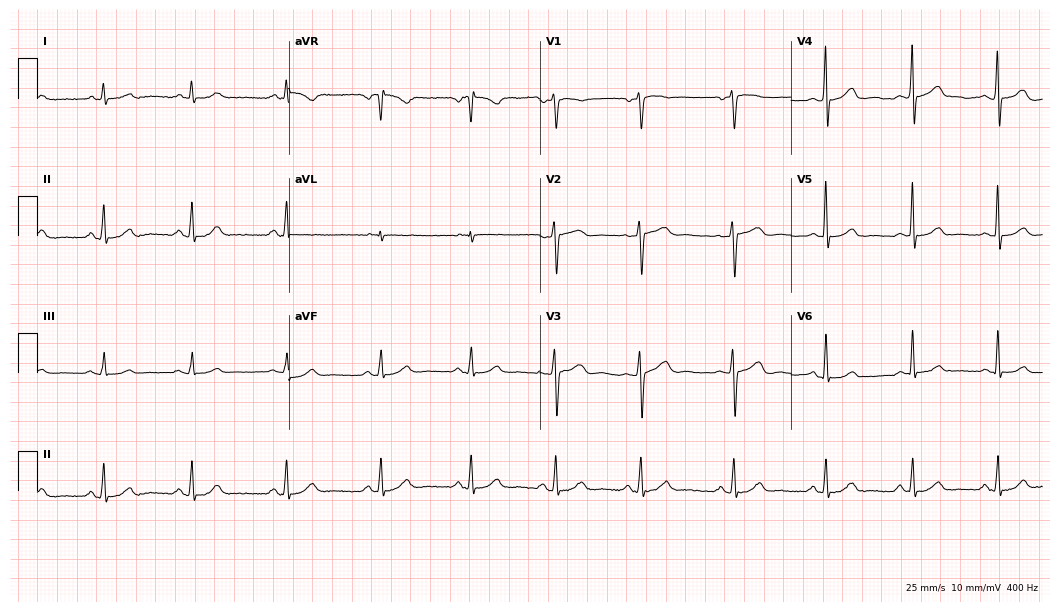
Resting 12-lead electrocardiogram (10.2-second recording at 400 Hz). Patient: a male, 54 years old. None of these six findings is recorded: first-degree AV block, right bundle branch block, left bundle branch block, sinus bradycardia, atrial fibrillation, sinus tachycardia. Only these six findings were labelled.